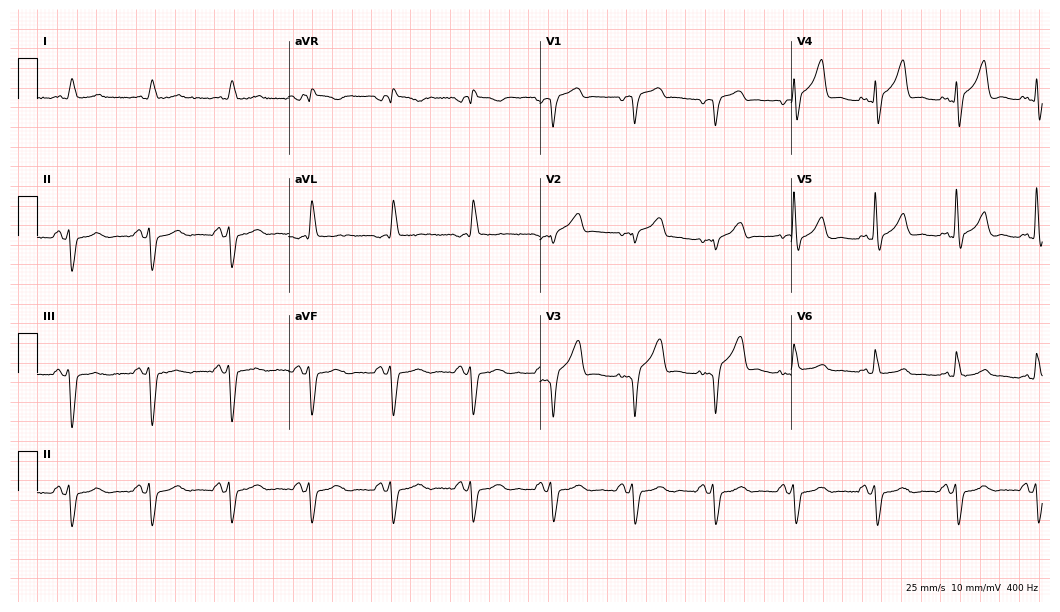
12-lead ECG from a 74-year-old male. No first-degree AV block, right bundle branch block, left bundle branch block, sinus bradycardia, atrial fibrillation or sinus tachycardia recorded for this tracing. Other findings, if any, are not listed.